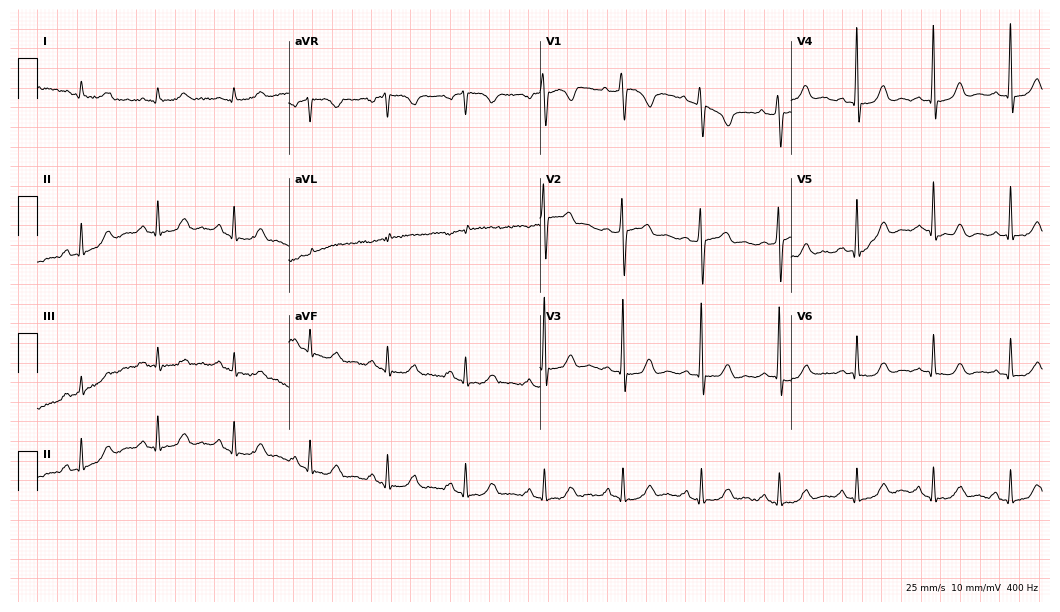
Resting 12-lead electrocardiogram (10.2-second recording at 400 Hz). Patient: a 65-year-old female. Read as a normal ECG.